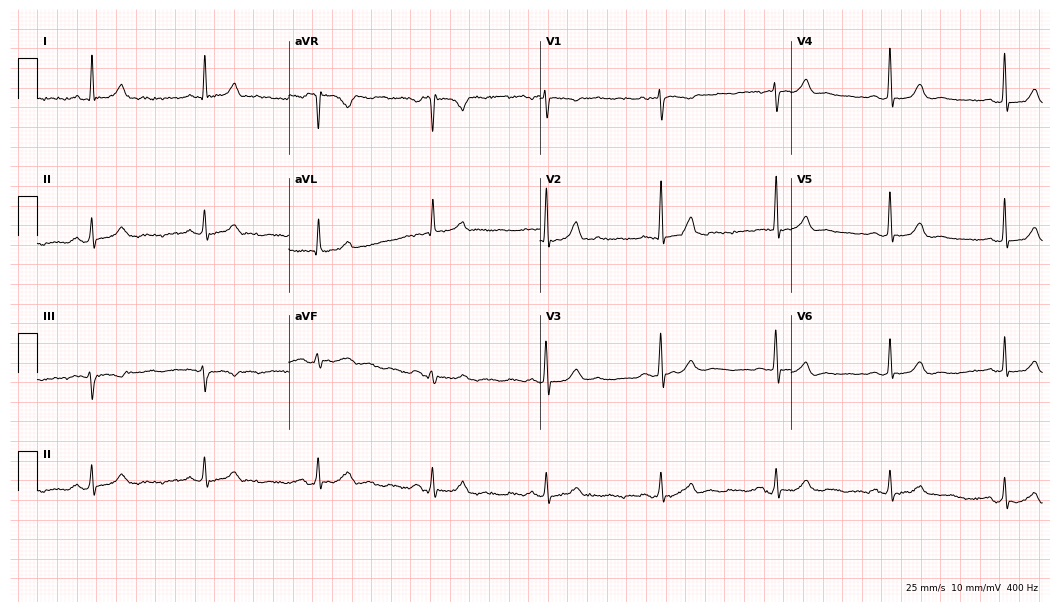
12-lead ECG from a female, 78 years old. Labelled as a normal ECG.